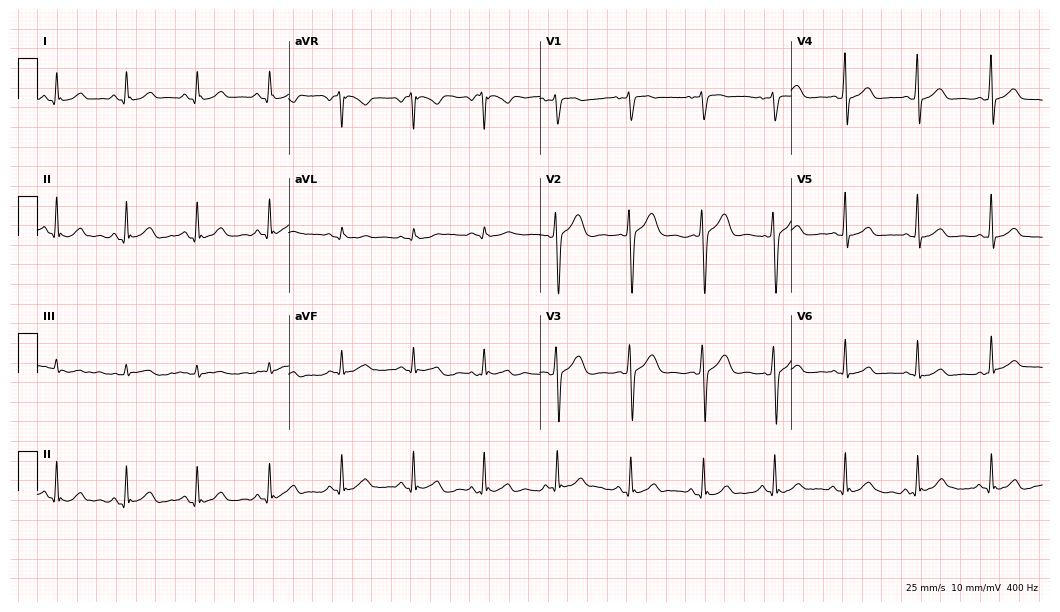
12-lead ECG from a 26-year-old man. Labelled as a normal ECG.